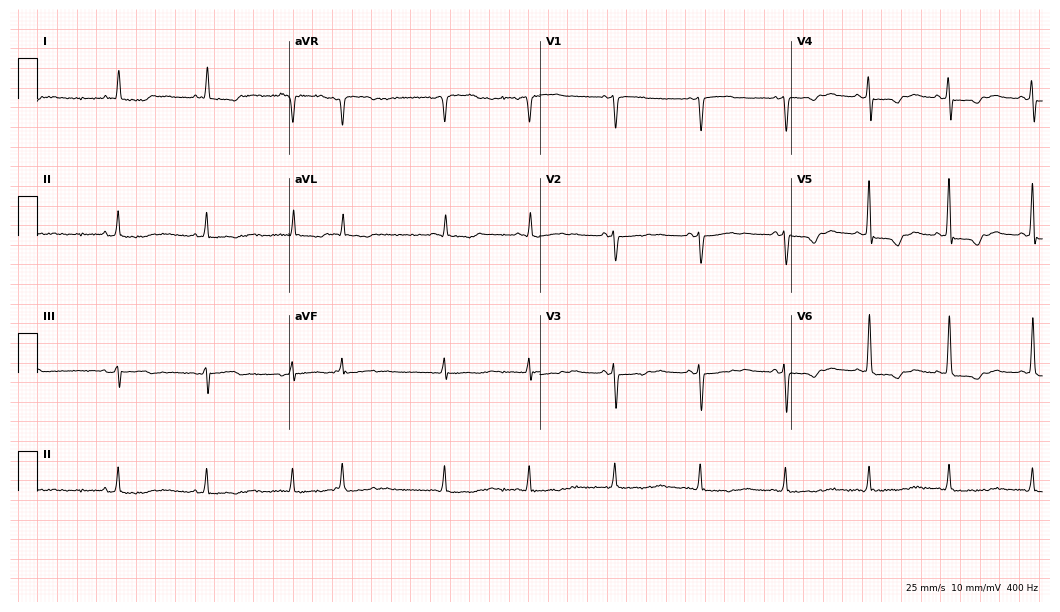
ECG — a 78-year-old woman. Screened for six findings — first-degree AV block, right bundle branch block, left bundle branch block, sinus bradycardia, atrial fibrillation, sinus tachycardia — none is recorded. Other findings, if any, are not listed.